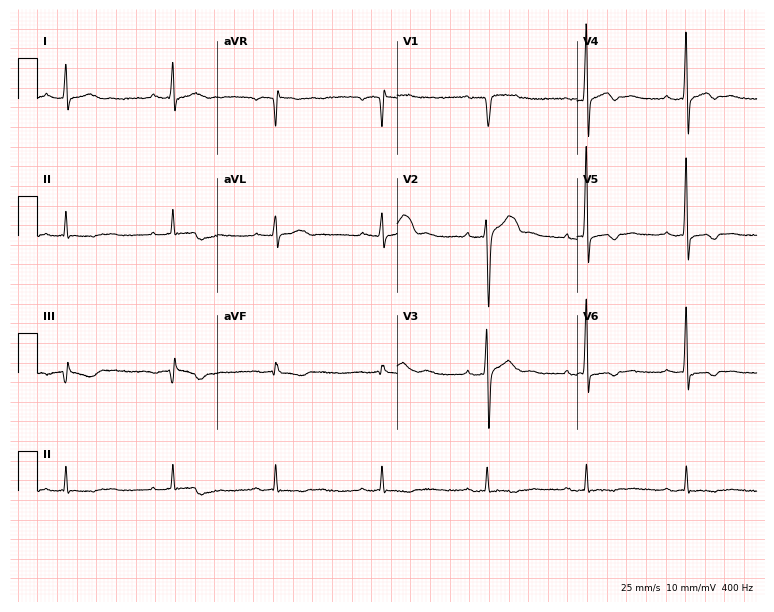
Electrocardiogram (7.3-second recording at 400 Hz), a 29-year-old man. Of the six screened findings (first-degree AV block, right bundle branch block (RBBB), left bundle branch block (LBBB), sinus bradycardia, atrial fibrillation (AF), sinus tachycardia), none is recorded. Findings outside these six are not listed.